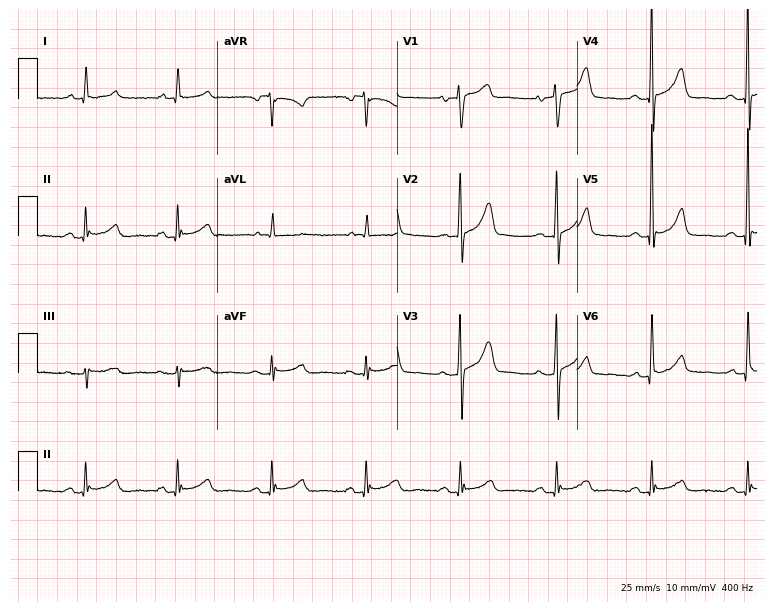
Resting 12-lead electrocardiogram (7.3-second recording at 400 Hz). Patient: a female, 83 years old. None of these six findings is recorded: first-degree AV block, right bundle branch block (RBBB), left bundle branch block (LBBB), sinus bradycardia, atrial fibrillation (AF), sinus tachycardia. Findings outside these six are not listed.